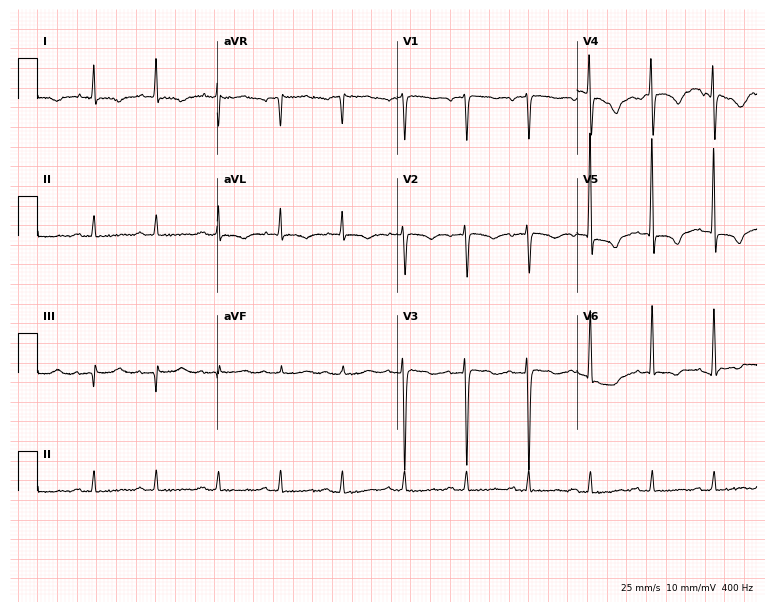
Standard 12-lead ECG recorded from an 81-year-old woman (7.3-second recording at 400 Hz). None of these six findings is recorded: first-degree AV block, right bundle branch block, left bundle branch block, sinus bradycardia, atrial fibrillation, sinus tachycardia.